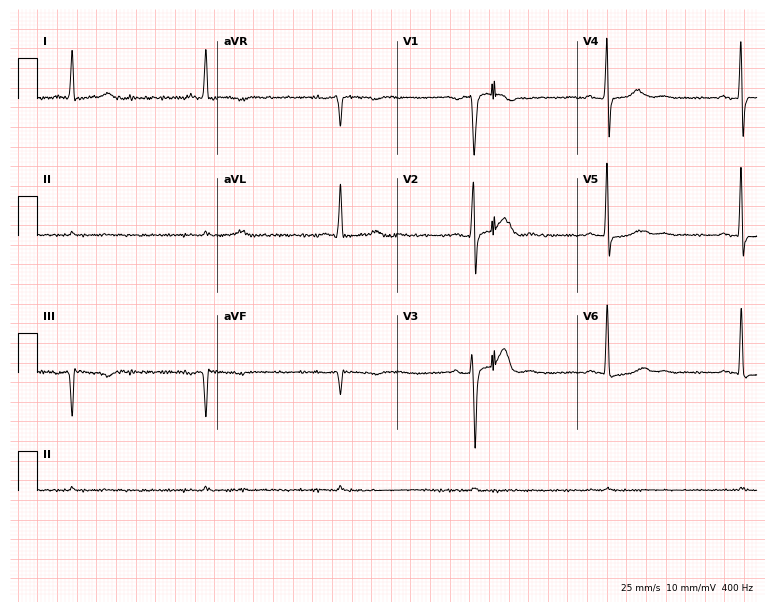
Resting 12-lead electrocardiogram (7.3-second recording at 400 Hz). Patient: a male, 76 years old. None of these six findings is recorded: first-degree AV block, right bundle branch block, left bundle branch block, sinus bradycardia, atrial fibrillation, sinus tachycardia.